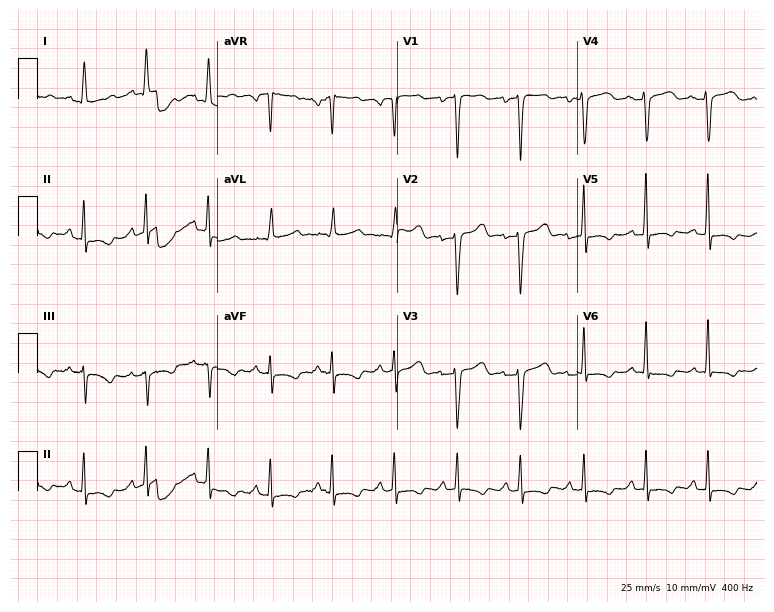
Electrocardiogram, a 70-year-old female patient. Of the six screened findings (first-degree AV block, right bundle branch block (RBBB), left bundle branch block (LBBB), sinus bradycardia, atrial fibrillation (AF), sinus tachycardia), none is recorded.